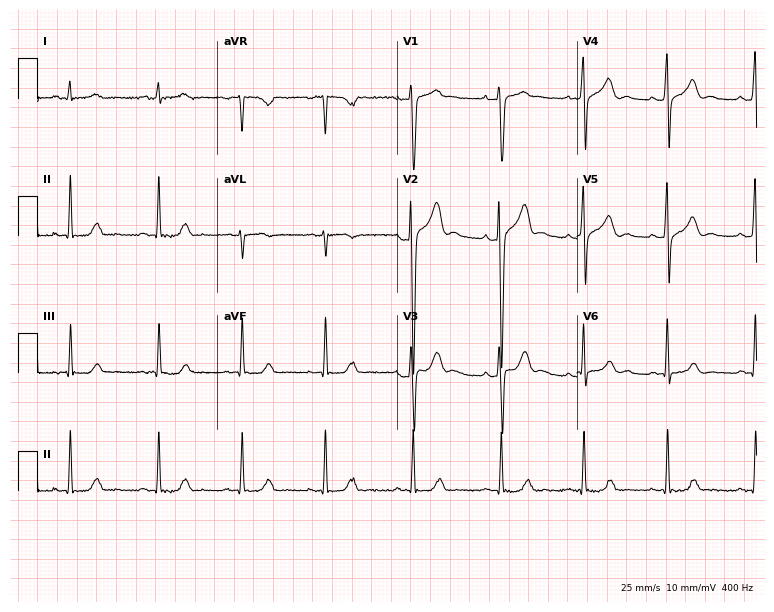
Standard 12-lead ECG recorded from a 23-year-old male (7.3-second recording at 400 Hz). Read as a normal ECG.